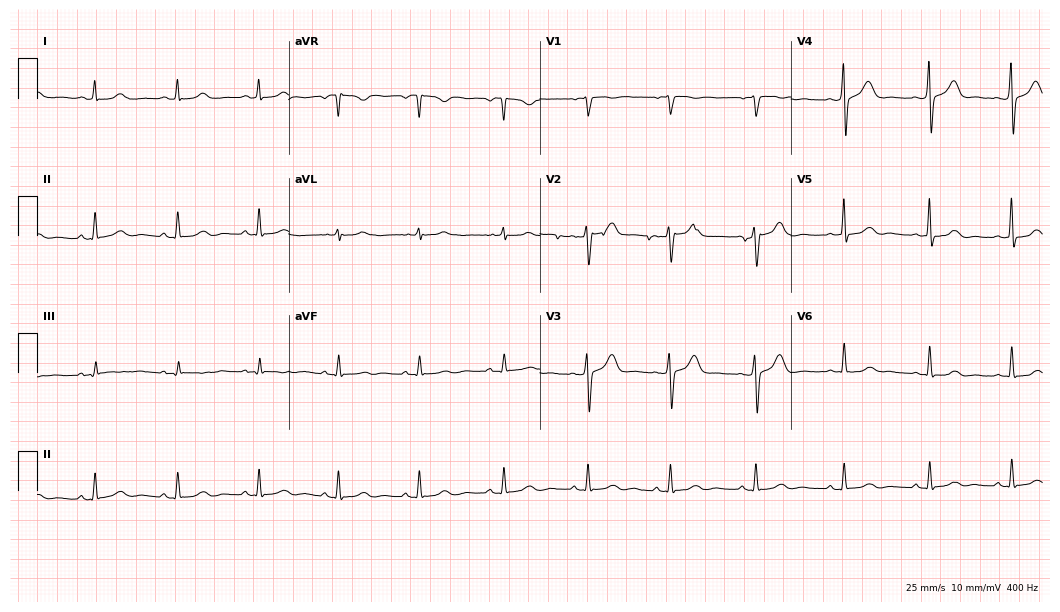
Electrocardiogram (10.2-second recording at 400 Hz), a female patient, 43 years old. Overall reading on record: normal ECG.